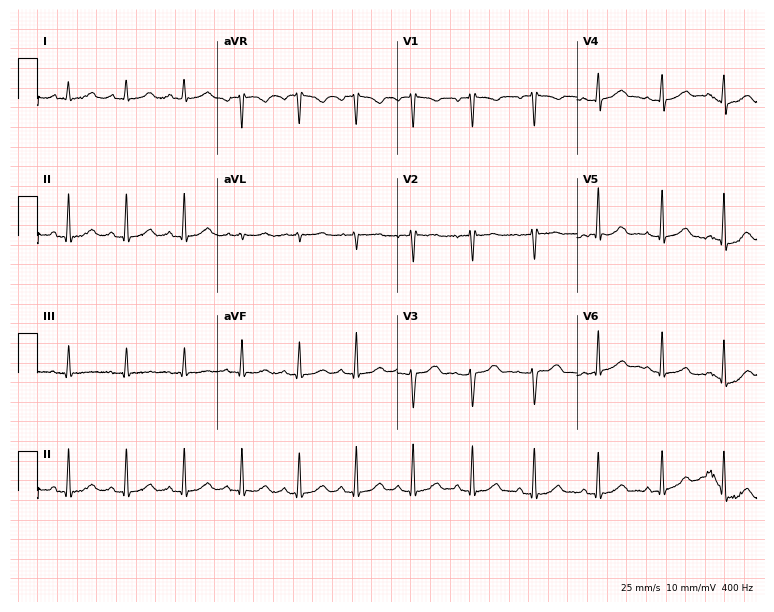
Resting 12-lead electrocardiogram (7.3-second recording at 400 Hz). Patient: a 28-year-old woman. Read as a normal ECG.